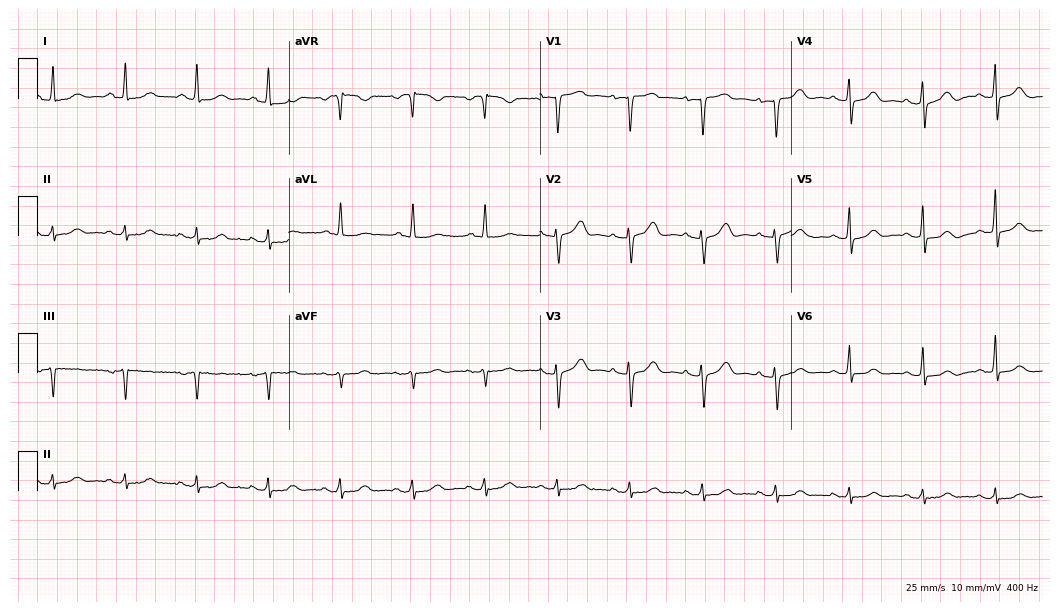
Standard 12-lead ECG recorded from a female, 74 years old. Read as a normal ECG.